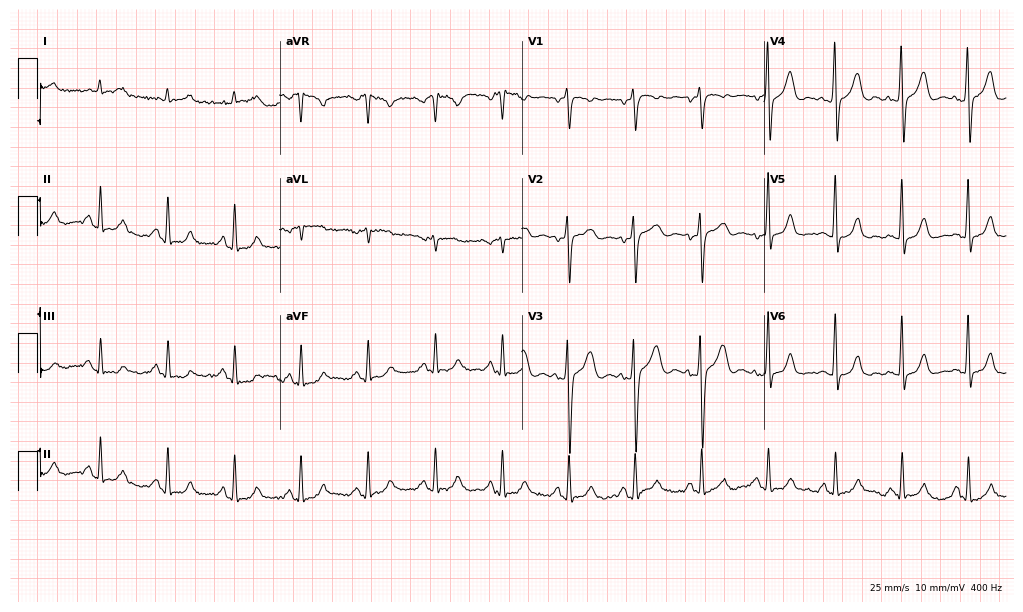
12-lead ECG from a male patient, 71 years old. Labelled as a normal ECG.